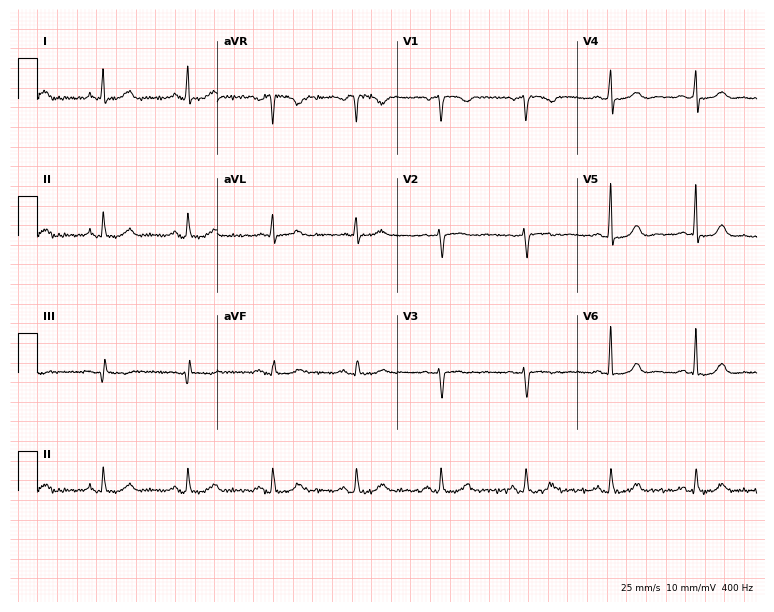
Resting 12-lead electrocardiogram. Patient: a 56-year-old woman. Read as a normal ECG.